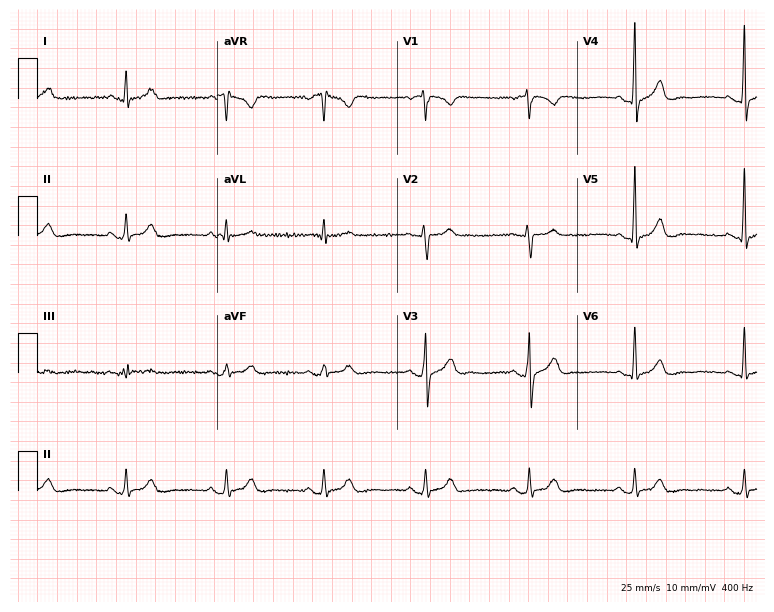
Resting 12-lead electrocardiogram. Patient: a 43-year-old male. Read as a normal ECG.